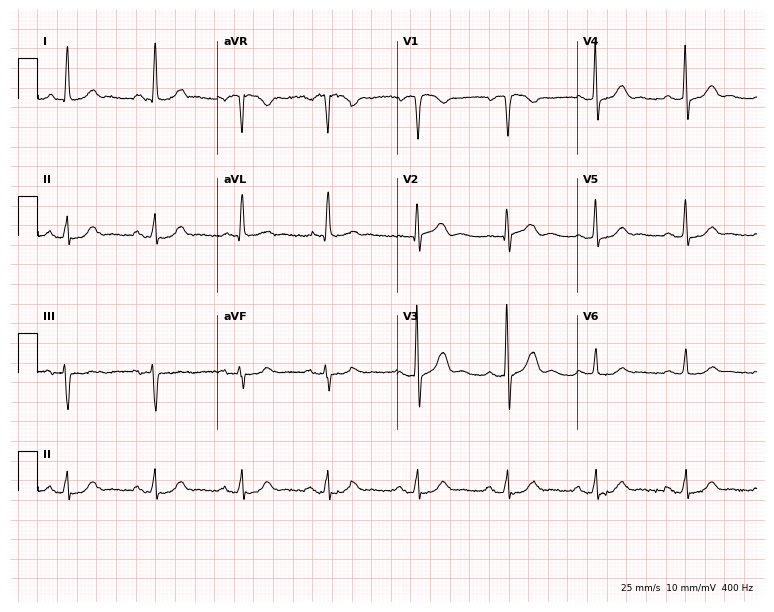
12-lead ECG from a male patient, 53 years old. Recorded interpretation: within normal limits.